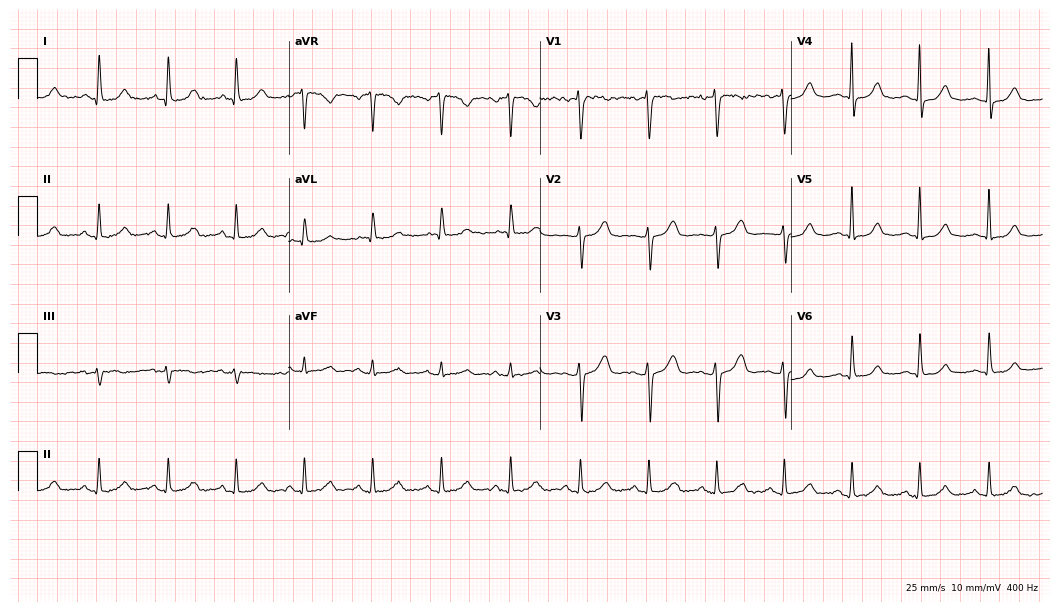
Resting 12-lead electrocardiogram (10.2-second recording at 400 Hz). Patient: a 46-year-old woman. Read as a normal ECG.